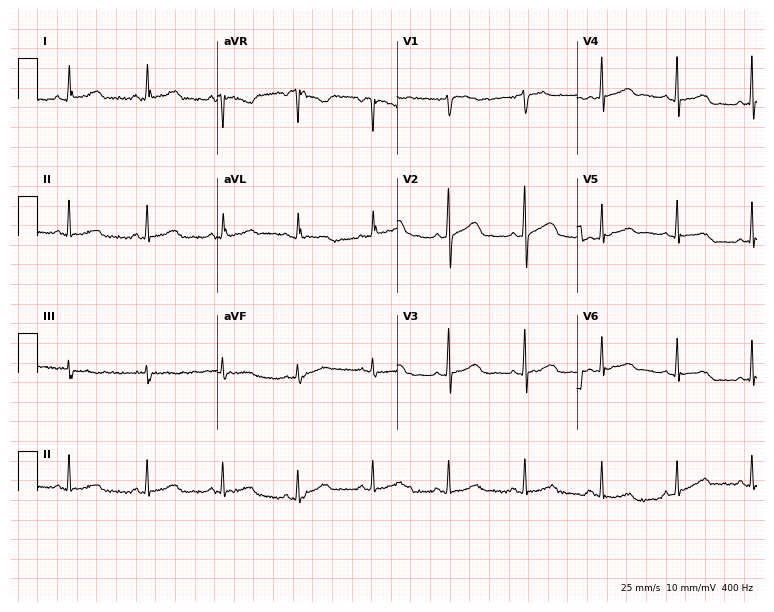
12-lead ECG from a female, 50 years old. Labelled as a normal ECG.